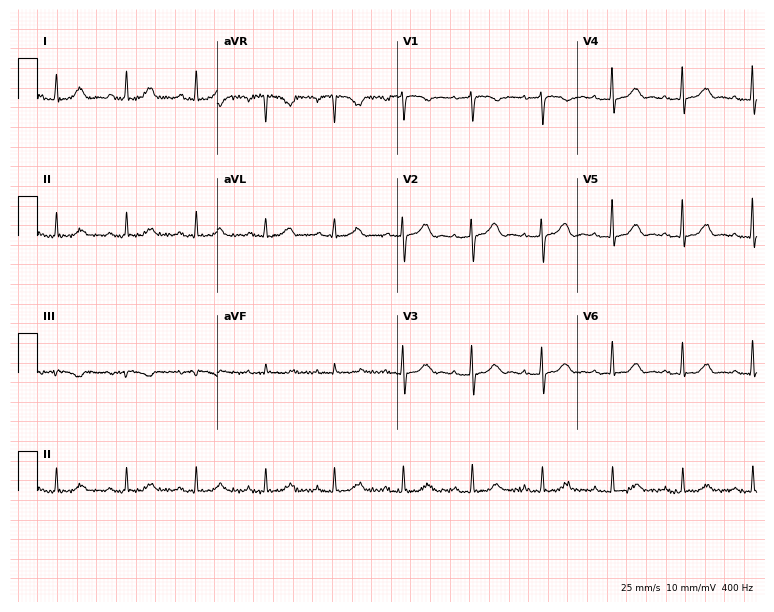
Electrocardiogram, a woman, 74 years old. Overall reading on record: normal ECG.